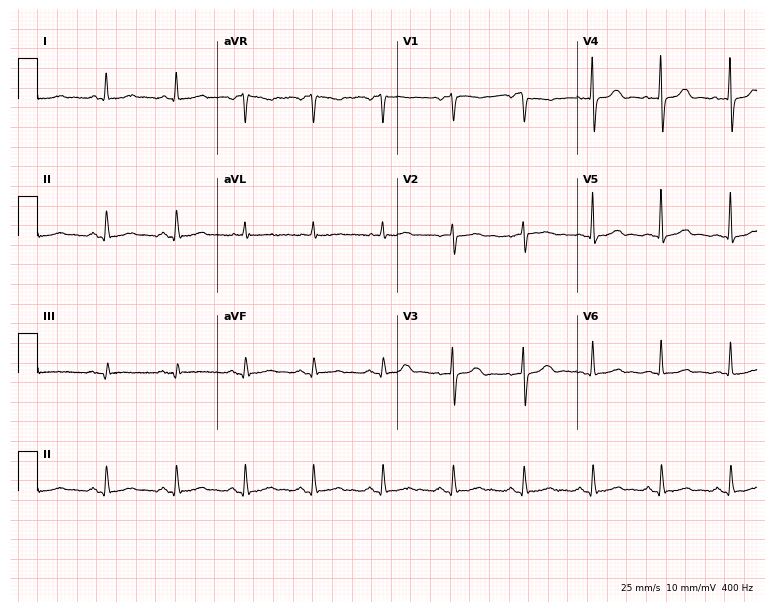
Electrocardiogram (7.3-second recording at 400 Hz), a woman, 67 years old. Of the six screened findings (first-degree AV block, right bundle branch block, left bundle branch block, sinus bradycardia, atrial fibrillation, sinus tachycardia), none is recorded.